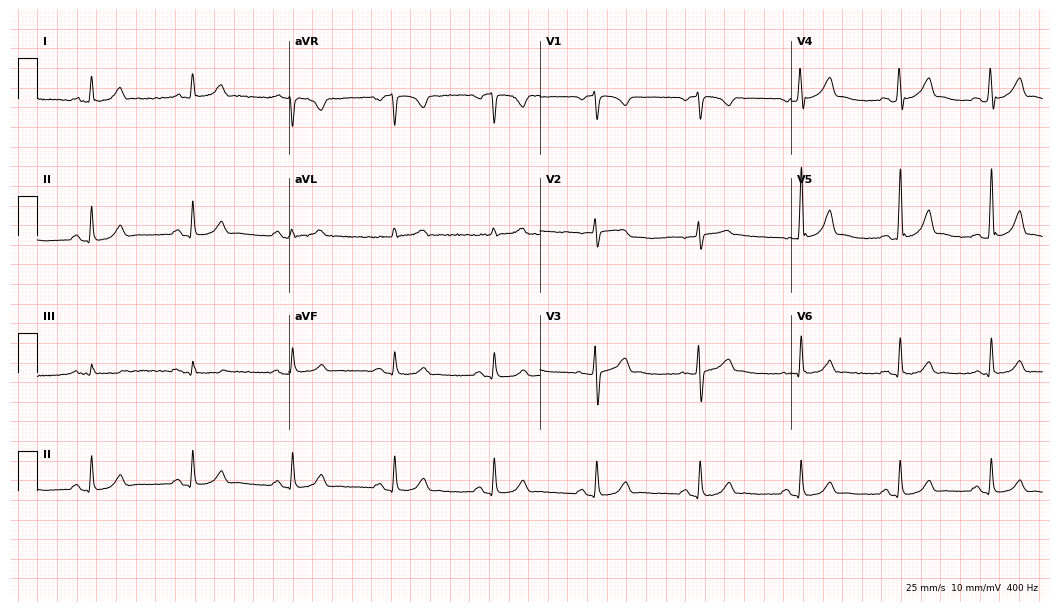
Resting 12-lead electrocardiogram. Patient: a 46-year-old male. Read as a normal ECG.